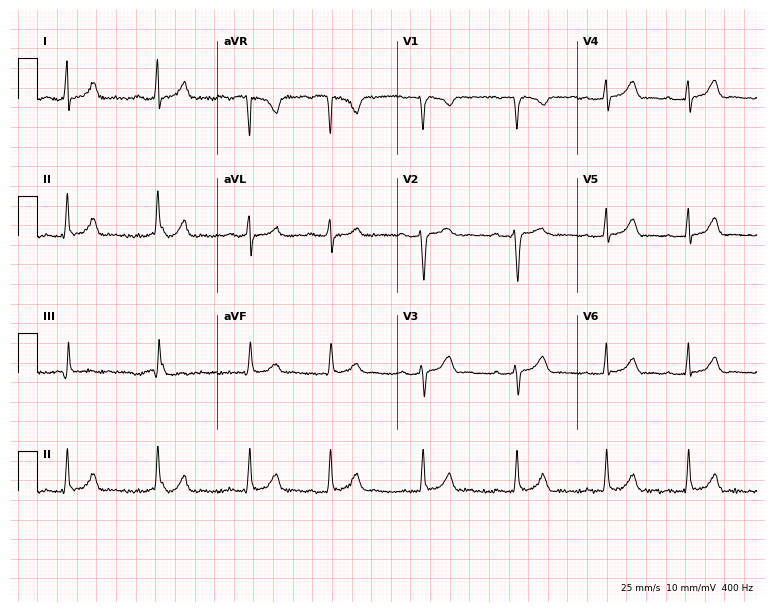
Standard 12-lead ECG recorded from a female patient, 22 years old. None of these six findings is recorded: first-degree AV block, right bundle branch block, left bundle branch block, sinus bradycardia, atrial fibrillation, sinus tachycardia.